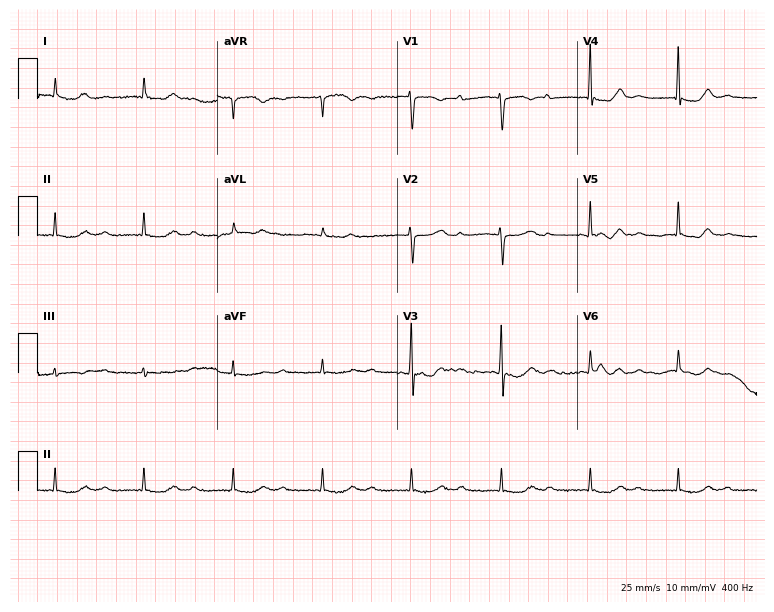
12-lead ECG (7.3-second recording at 400 Hz) from a female patient, 83 years old. Findings include first-degree AV block.